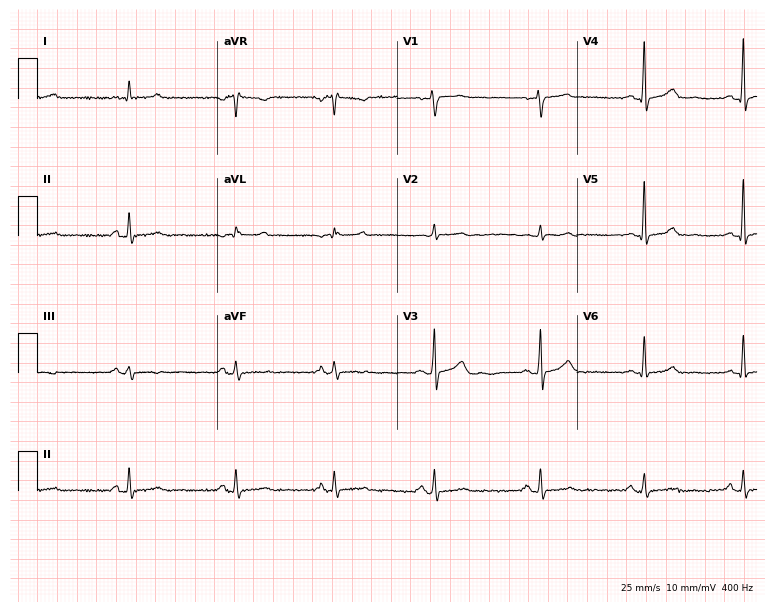
Electrocardiogram, a male, 51 years old. Overall reading on record: normal ECG.